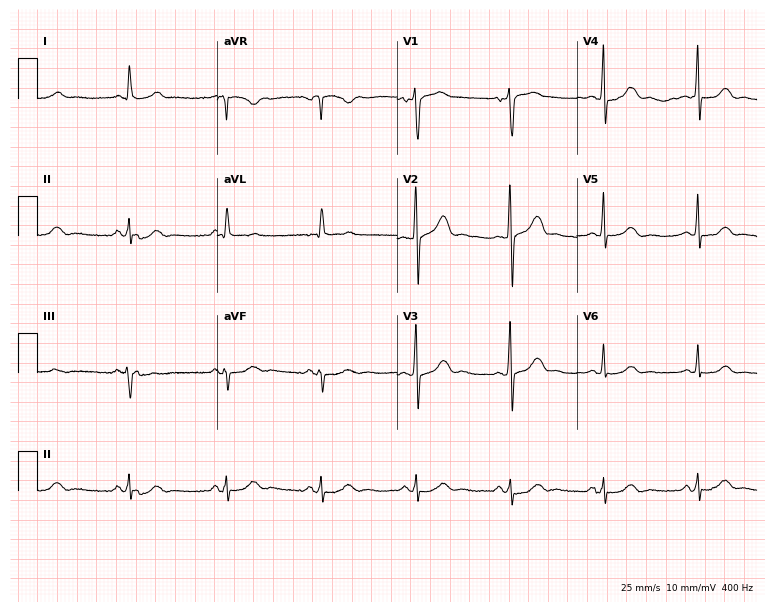
12-lead ECG (7.3-second recording at 400 Hz) from a 60-year-old man. Labelled as a normal ECG.